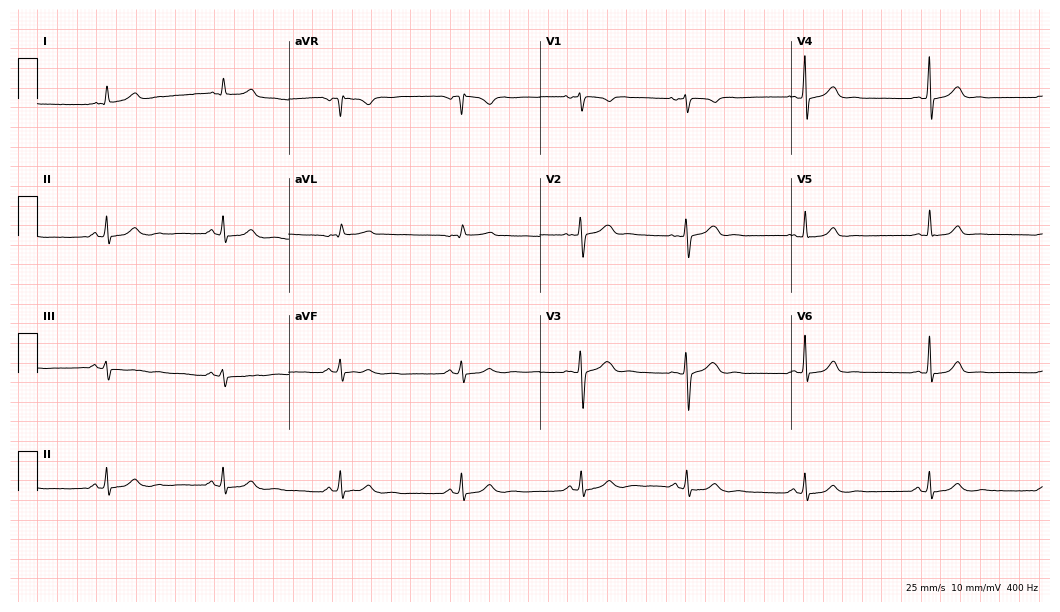
Resting 12-lead electrocardiogram (10.2-second recording at 400 Hz). Patient: an 18-year-old woman. Read as a normal ECG.